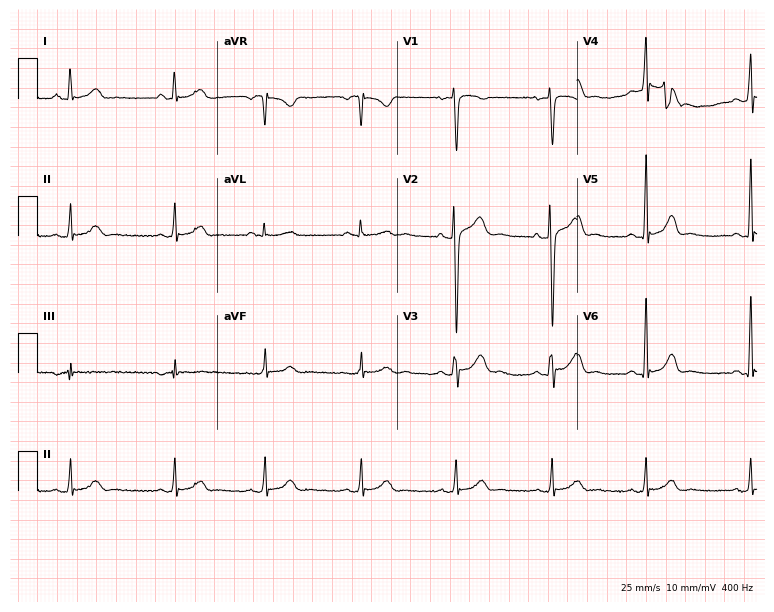
12-lead ECG from a man, 29 years old. Recorded interpretation: within normal limits.